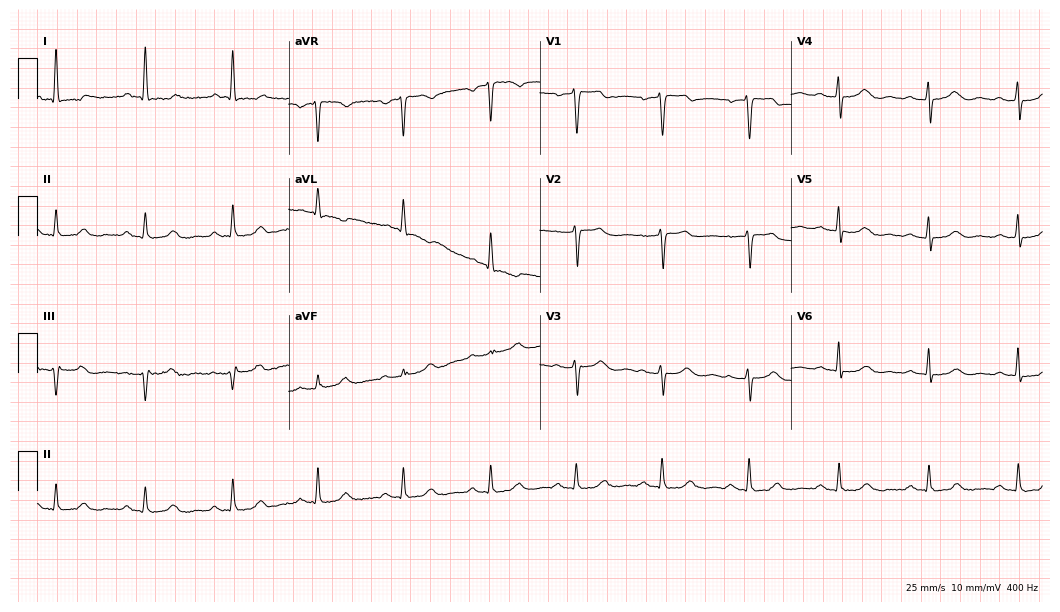
Electrocardiogram (10.2-second recording at 400 Hz), a male, 64 years old. Of the six screened findings (first-degree AV block, right bundle branch block, left bundle branch block, sinus bradycardia, atrial fibrillation, sinus tachycardia), none is recorded. Only these six findings were labelled.